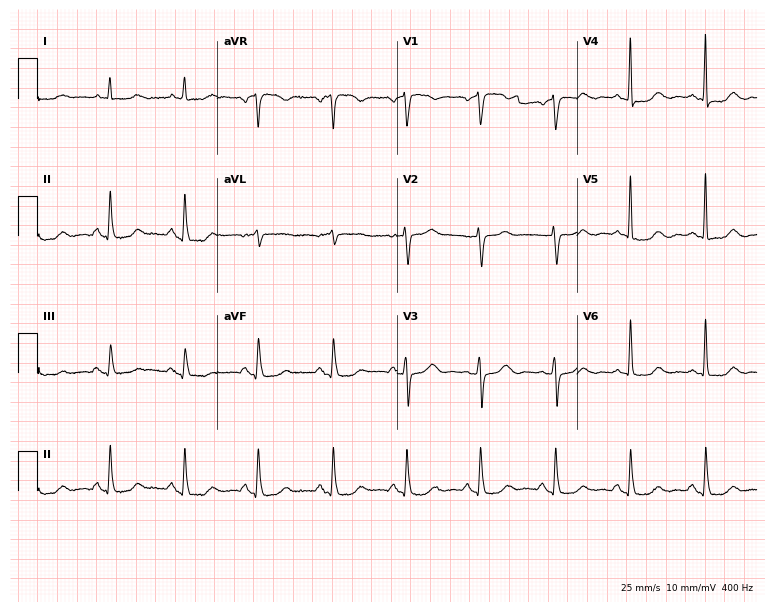
12-lead ECG from a 61-year-old female (7.3-second recording at 400 Hz). No first-degree AV block, right bundle branch block, left bundle branch block, sinus bradycardia, atrial fibrillation or sinus tachycardia recorded for this tracing.